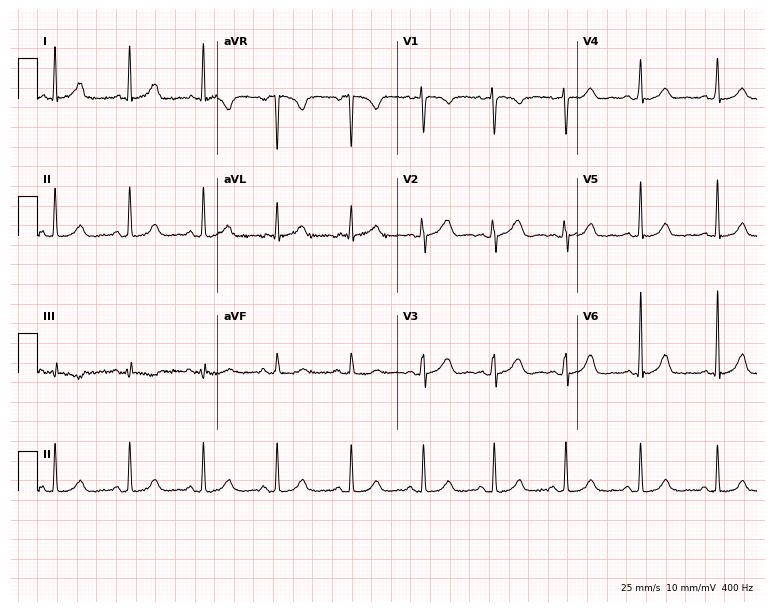
Standard 12-lead ECG recorded from a 39-year-old woman. Read as a normal ECG.